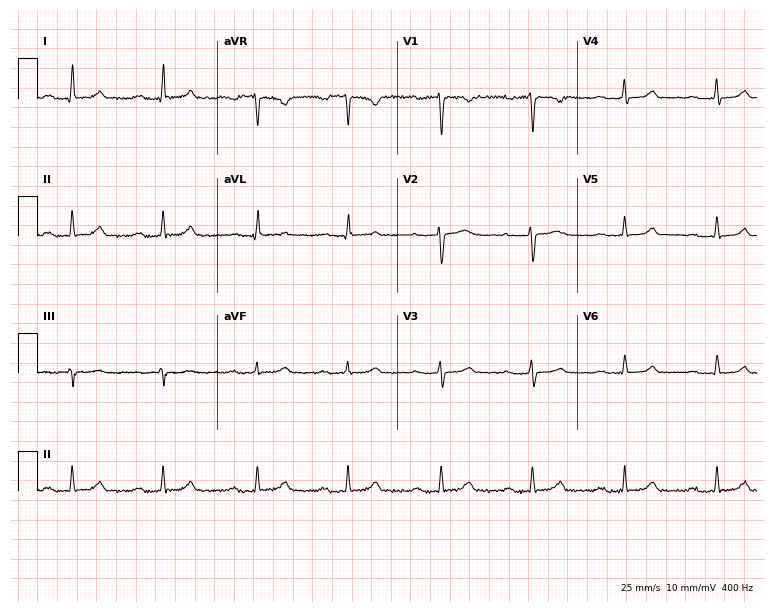
Electrocardiogram (7.3-second recording at 400 Hz), a 40-year-old woman. Interpretation includes first-degree AV block.